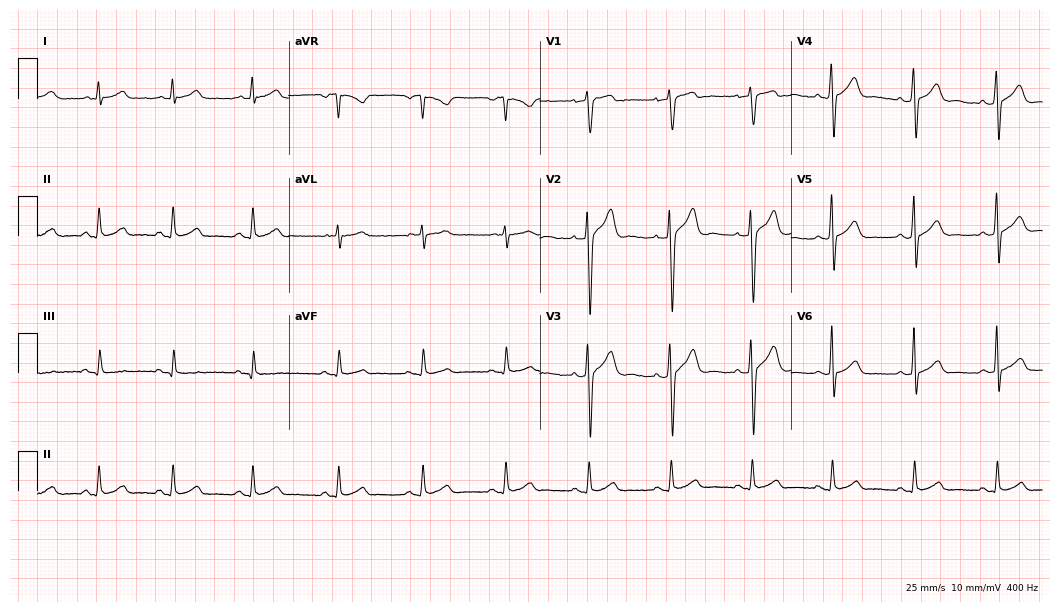
12-lead ECG from a female patient, 31 years old. Recorded interpretation: within normal limits.